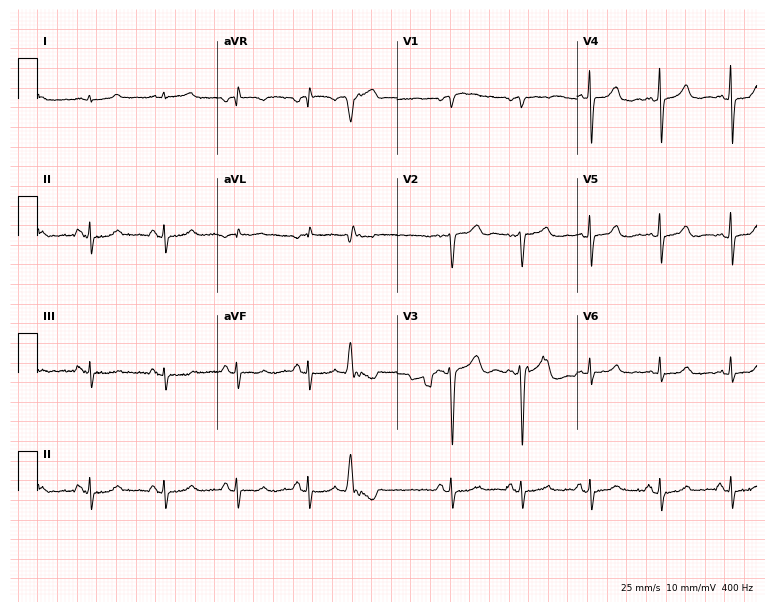
Electrocardiogram, a female, 51 years old. Of the six screened findings (first-degree AV block, right bundle branch block, left bundle branch block, sinus bradycardia, atrial fibrillation, sinus tachycardia), none is recorded.